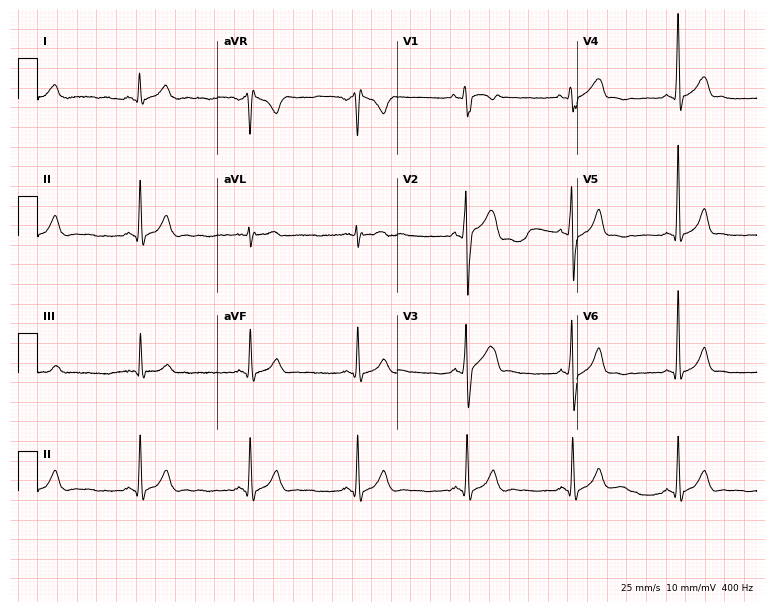
Standard 12-lead ECG recorded from a 24-year-old man (7.3-second recording at 400 Hz). Read as a normal ECG.